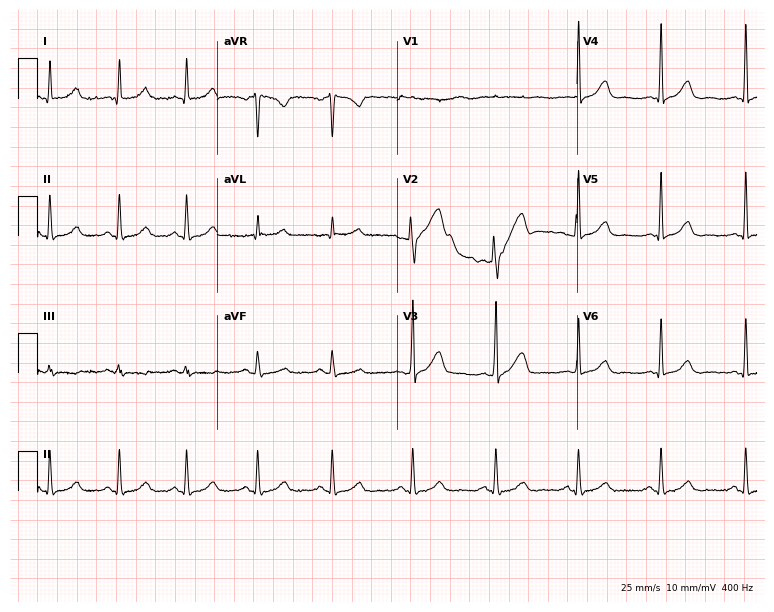
12-lead ECG from a 46-year-old female. No first-degree AV block, right bundle branch block (RBBB), left bundle branch block (LBBB), sinus bradycardia, atrial fibrillation (AF) or sinus tachycardia recorded for this tracing.